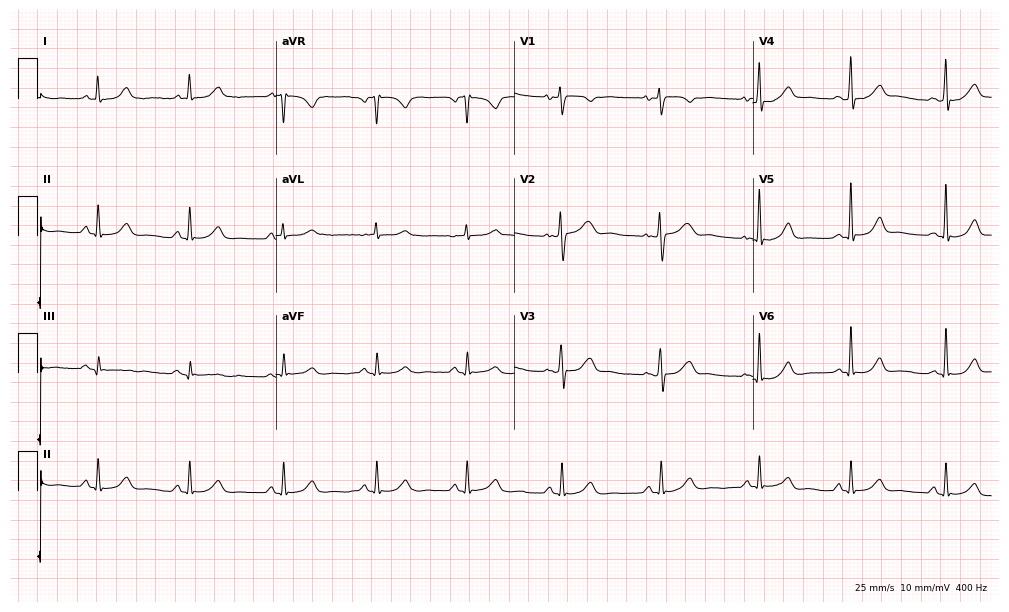
Standard 12-lead ECG recorded from a 43-year-old female (9.7-second recording at 400 Hz). Read as a normal ECG.